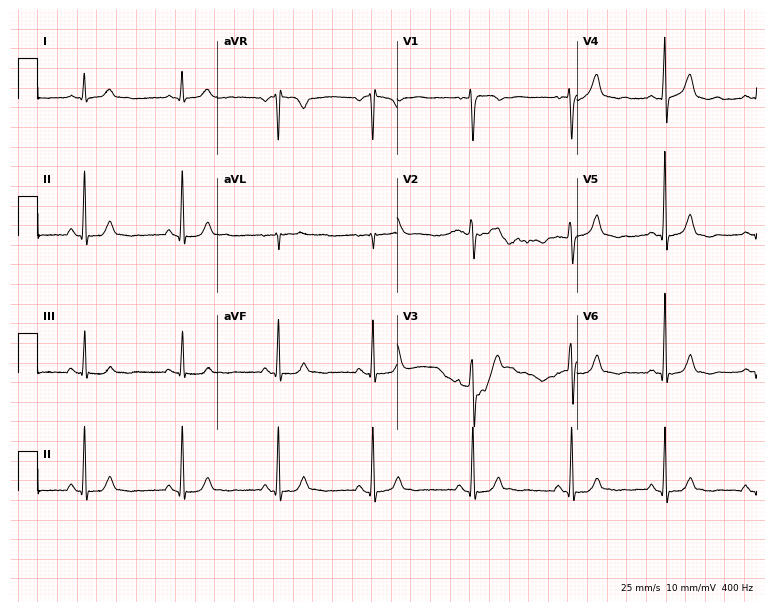
12-lead ECG from a man, 46 years old. Recorded interpretation: within normal limits.